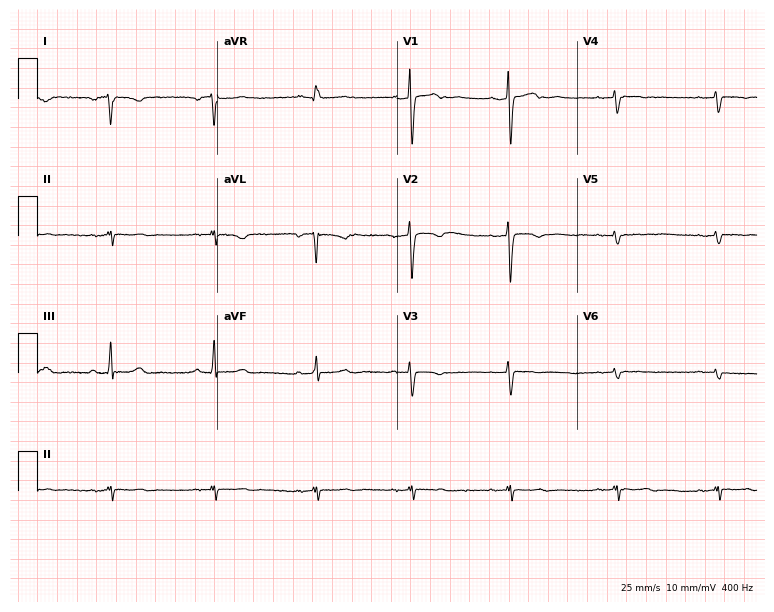
Resting 12-lead electrocardiogram (7.3-second recording at 400 Hz). Patient: a woman, 22 years old. None of these six findings is recorded: first-degree AV block, right bundle branch block (RBBB), left bundle branch block (LBBB), sinus bradycardia, atrial fibrillation (AF), sinus tachycardia.